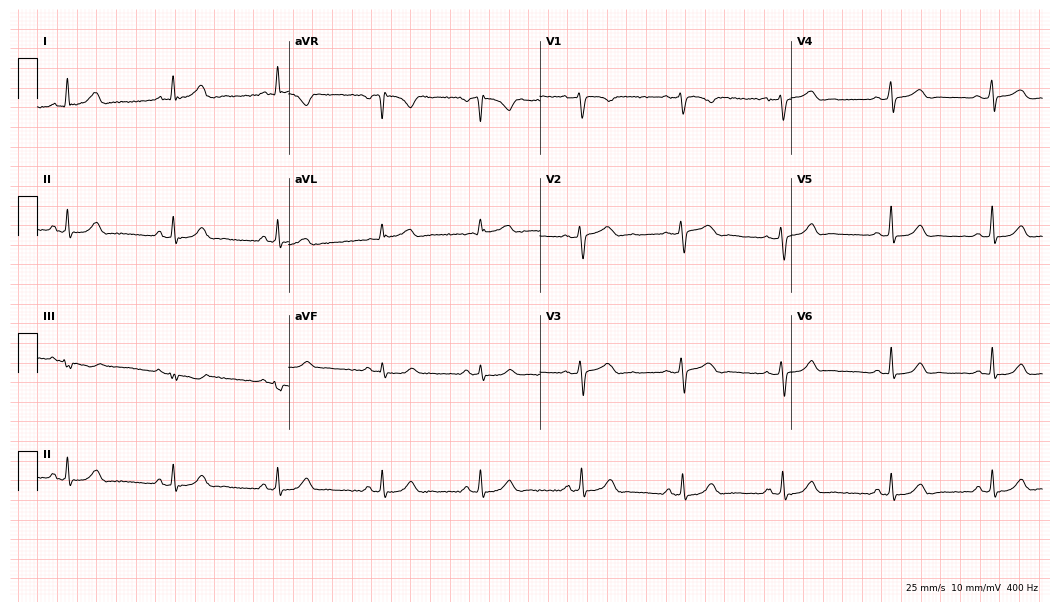
12-lead ECG (10.2-second recording at 400 Hz) from a female, 38 years old. Labelled as a normal ECG.